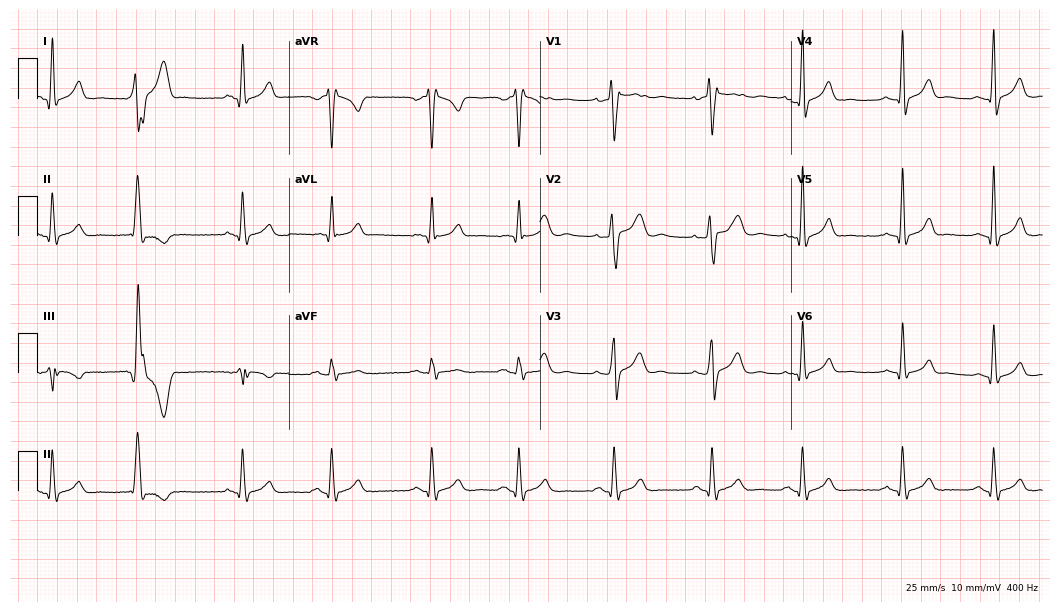
12-lead ECG from a 23-year-old male patient. No first-degree AV block, right bundle branch block (RBBB), left bundle branch block (LBBB), sinus bradycardia, atrial fibrillation (AF) or sinus tachycardia recorded for this tracing. Only these six findings were labelled.